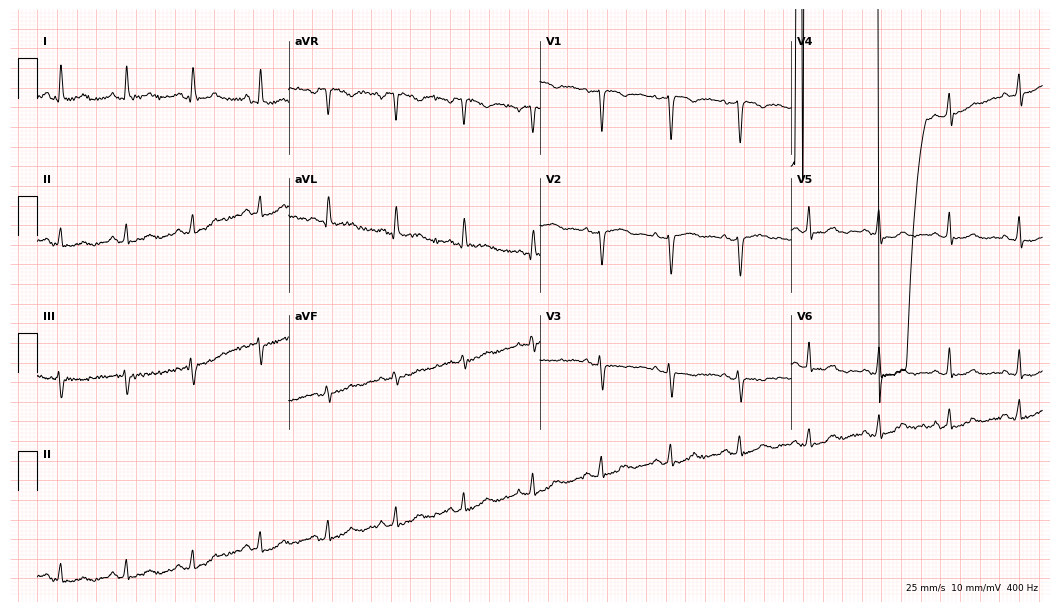
12-lead ECG (10.2-second recording at 400 Hz) from a woman, 53 years old. Screened for six findings — first-degree AV block, right bundle branch block, left bundle branch block, sinus bradycardia, atrial fibrillation, sinus tachycardia — none is recorded. Only these six findings were labelled.